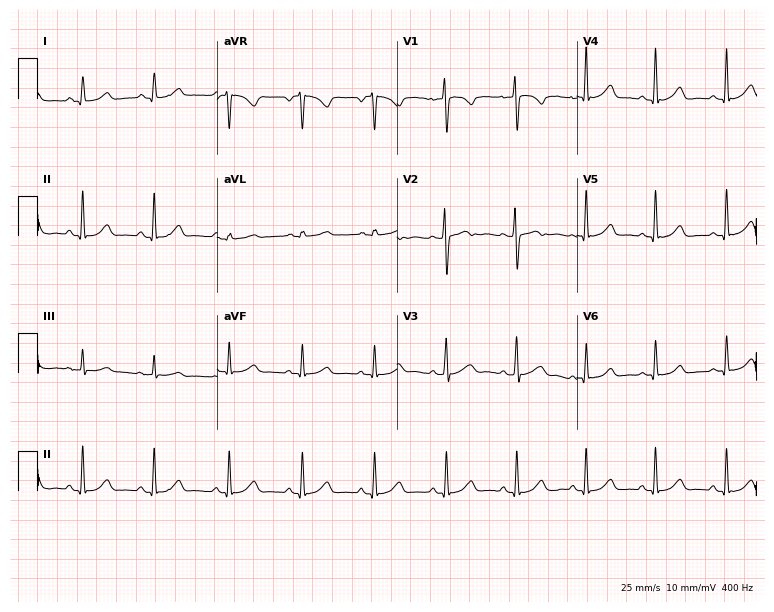
Standard 12-lead ECG recorded from a woman, 23 years old. None of these six findings is recorded: first-degree AV block, right bundle branch block, left bundle branch block, sinus bradycardia, atrial fibrillation, sinus tachycardia.